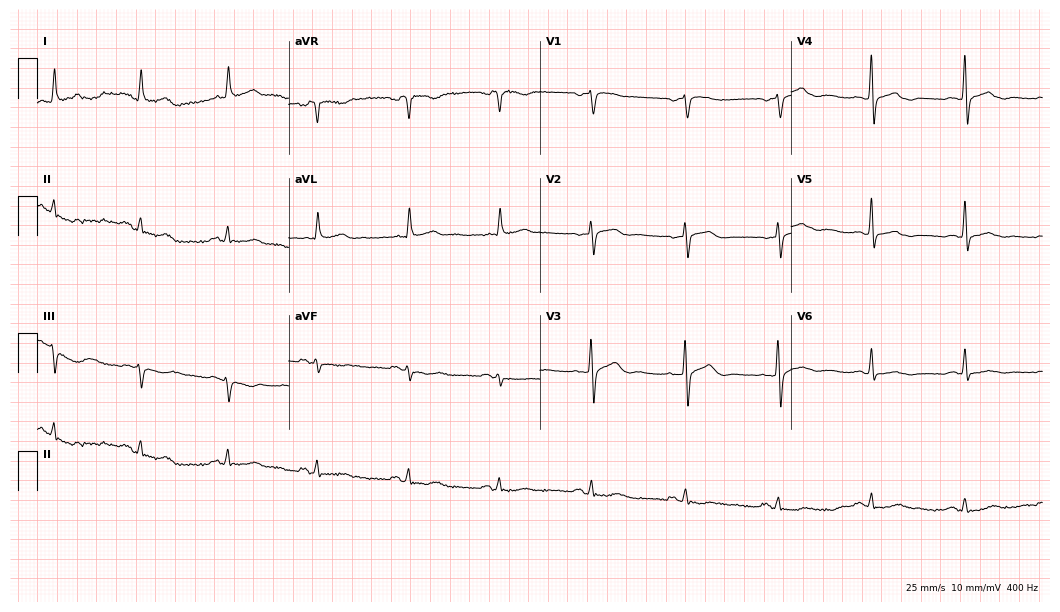
12-lead ECG (10.2-second recording at 400 Hz) from a female, 70 years old. Screened for six findings — first-degree AV block, right bundle branch block (RBBB), left bundle branch block (LBBB), sinus bradycardia, atrial fibrillation (AF), sinus tachycardia — none is recorded.